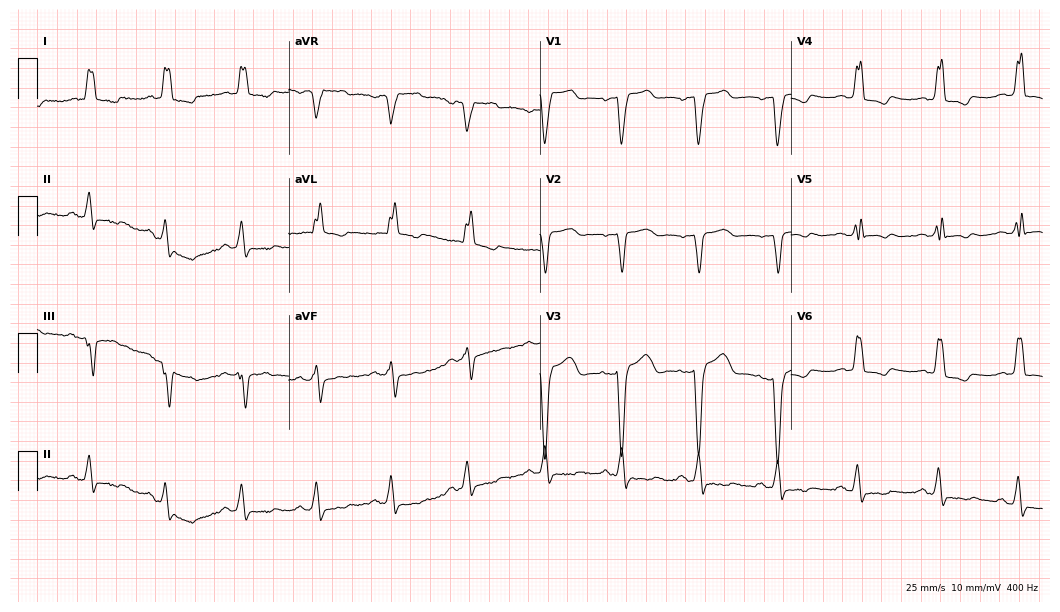
Standard 12-lead ECG recorded from a woman, 77 years old. The tracing shows left bundle branch block.